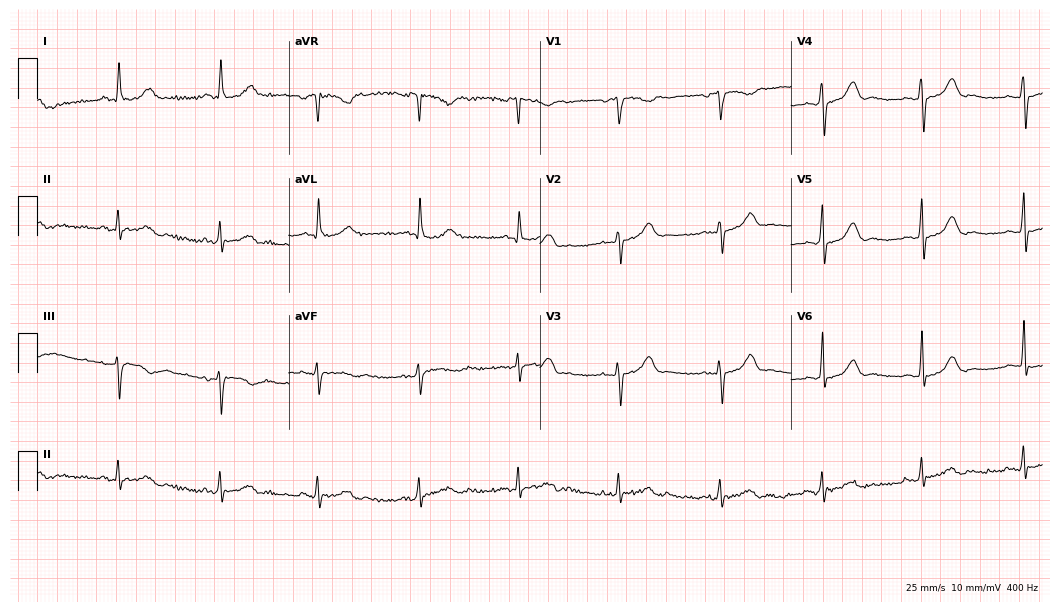
ECG (10.2-second recording at 400 Hz) — a female patient, 72 years old. Labelled as a normal ECG.